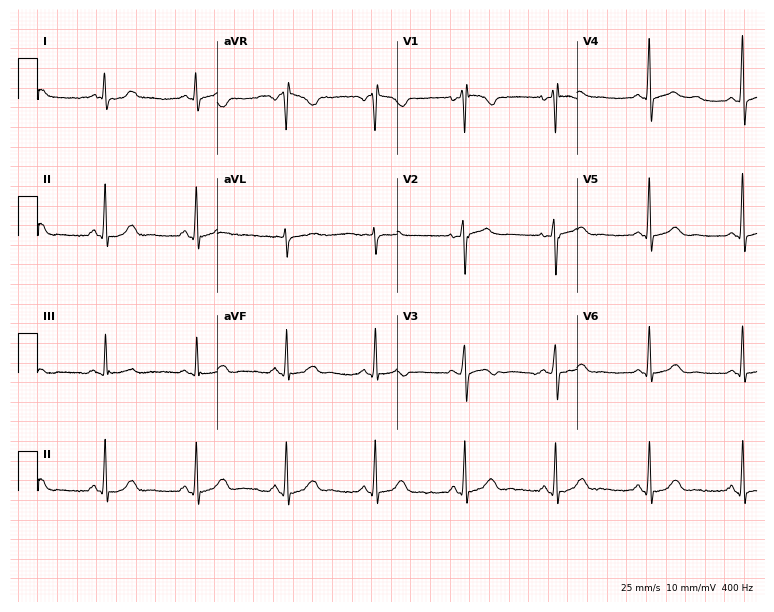
12-lead ECG (7.3-second recording at 400 Hz) from a 55-year-old woman. Screened for six findings — first-degree AV block, right bundle branch block, left bundle branch block, sinus bradycardia, atrial fibrillation, sinus tachycardia — none is recorded. Only these six findings were labelled.